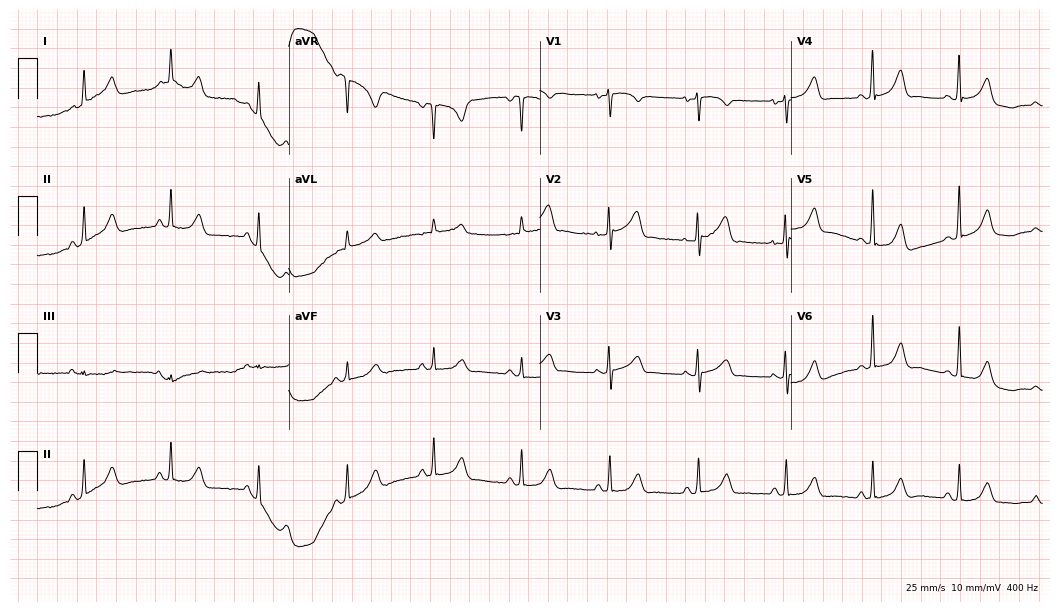
Resting 12-lead electrocardiogram (10.2-second recording at 400 Hz). Patient: a 68-year-old female. None of these six findings is recorded: first-degree AV block, right bundle branch block, left bundle branch block, sinus bradycardia, atrial fibrillation, sinus tachycardia.